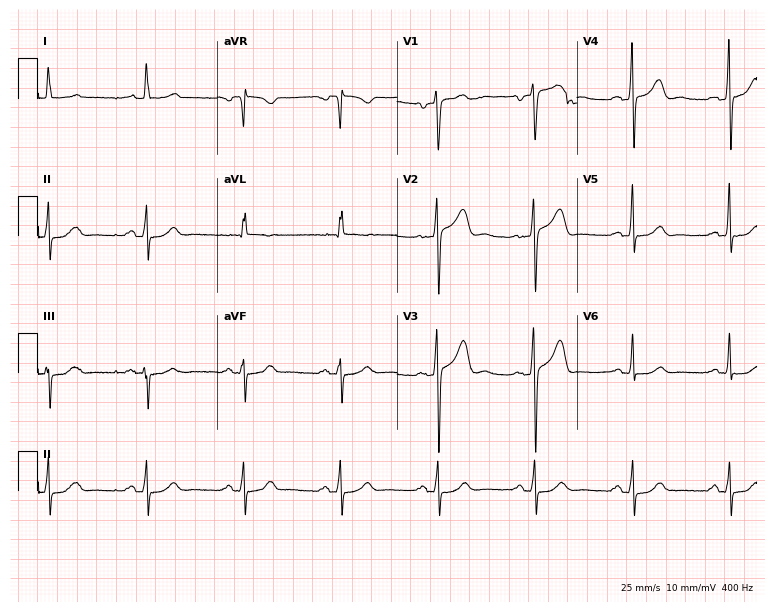
12-lead ECG from a 67-year-old male. Recorded interpretation: within normal limits.